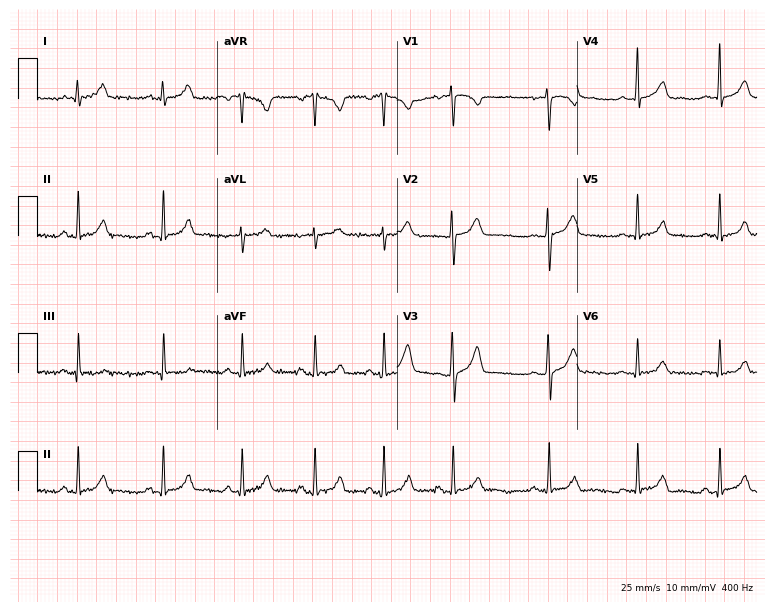
Standard 12-lead ECG recorded from a female patient, 19 years old (7.3-second recording at 400 Hz). Read as a normal ECG.